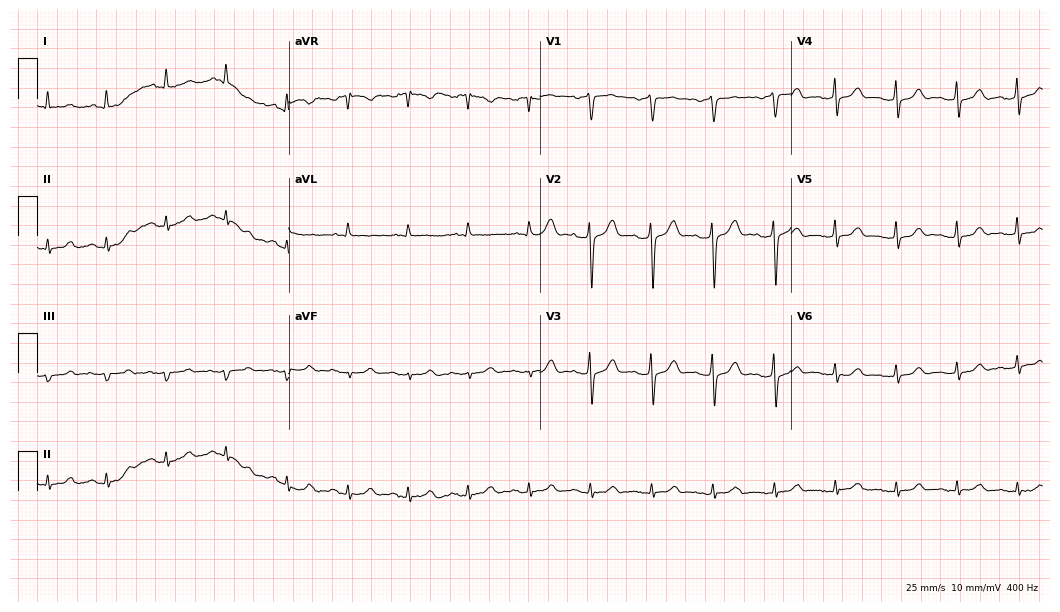
ECG (10.2-second recording at 400 Hz) — a 74-year-old man. Labelled as a normal ECG.